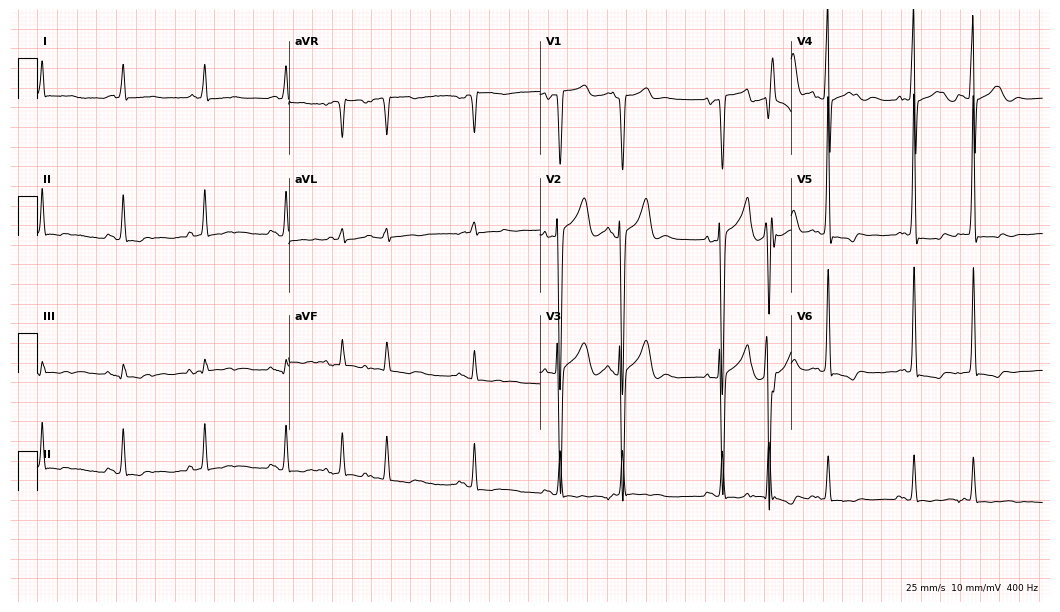
ECG (10.2-second recording at 400 Hz) — an 83-year-old man. Screened for six findings — first-degree AV block, right bundle branch block, left bundle branch block, sinus bradycardia, atrial fibrillation, sinus tachycardia — none is recorded.